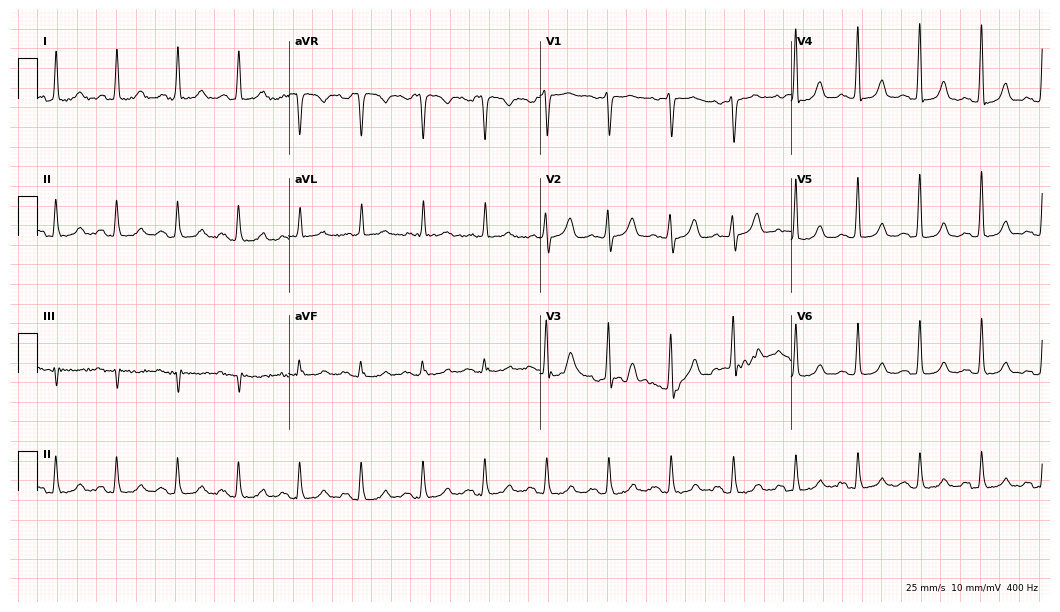
12-lead ECG from a female patient, 81 years old. Recorded interpretation: within normal limits.